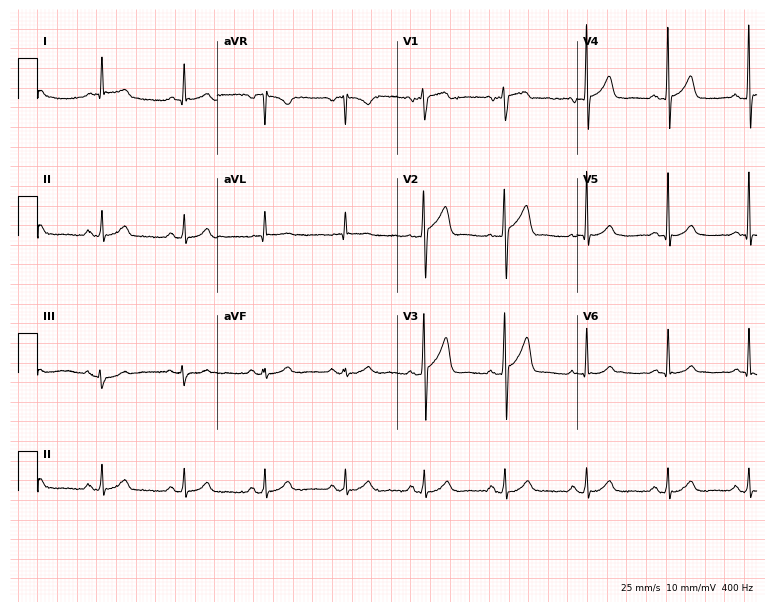
ECG (7.3-second recording at 400 Hz) — a male patient, 44 years old. Labelled as a normal ECG.